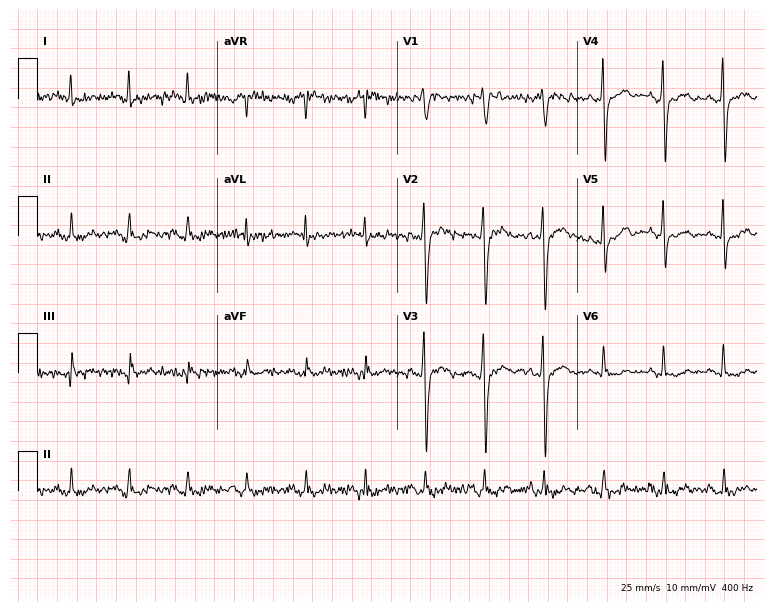
Electrocardiogram, a male patient, 59 years old. Of the six screened findings (first-degree AV block, right bundle branch block (RBBB), left bundle branch block (LBBB), sinus bradycardia, atrial fibrillation (AF), sinus tachycardia), none is recorded.